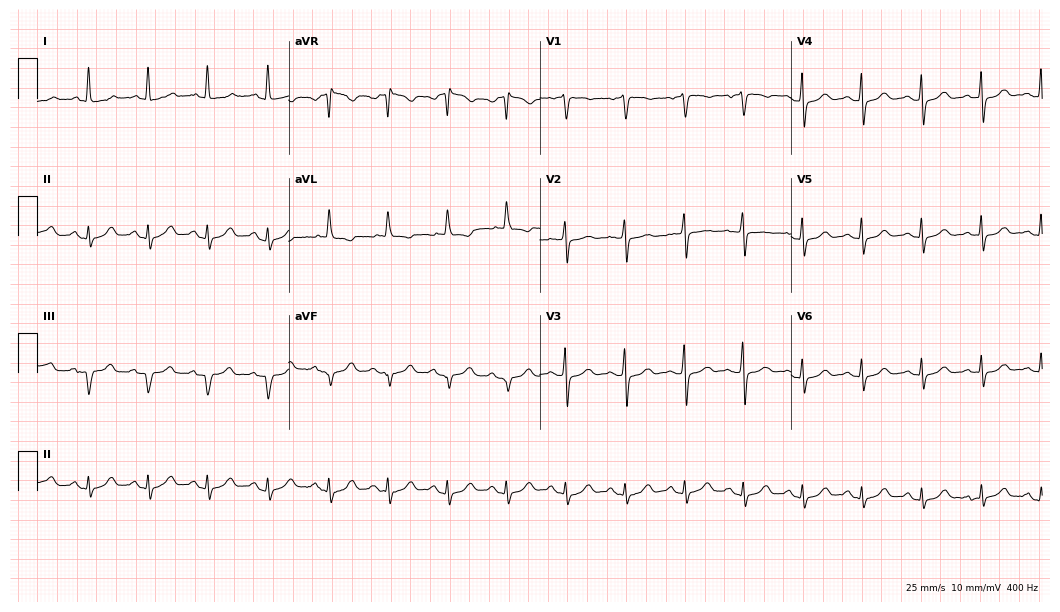
Electrocardiogram (10.2-second recording at 400 Hz), a female patient, 74 years old. Of the six screened findings (first-degree AV block, right bundle branch block, left bundle branch block, sinus bradycardia, atrial fibrillation, sinus tachycardia), none is recorded. Findings outside these six are not listed.